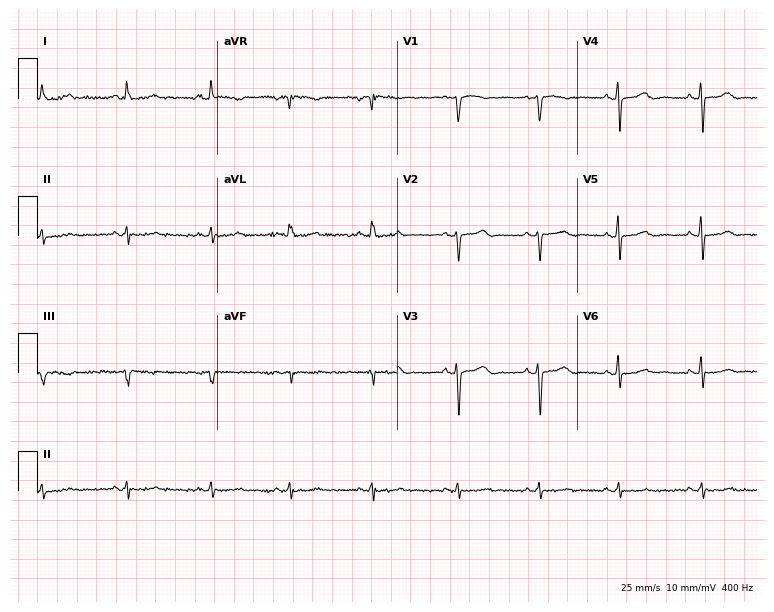
12-lead ECG (7.3-second recording at 400 Hz) from a 48-year-old female. Screened for six findings — first-degree AV block, right bundle branch block, left bundle branch block, sinus bradycardia, atrial fibrillation, sinus tachycardia — none is recorded.